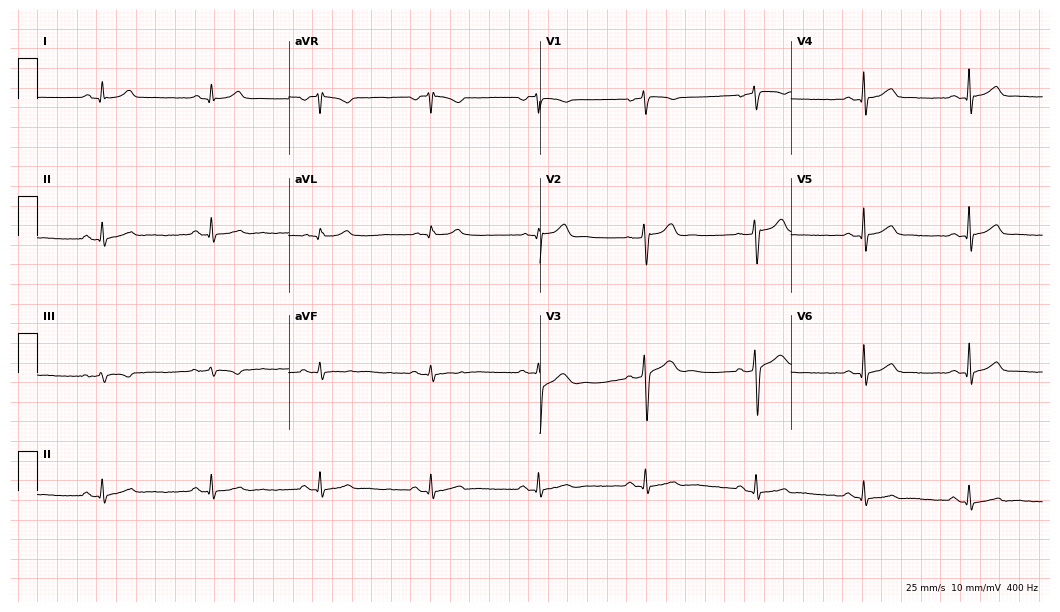
12-lead ECG from a 37-year-old male patient. Labelled as a normal ECG.